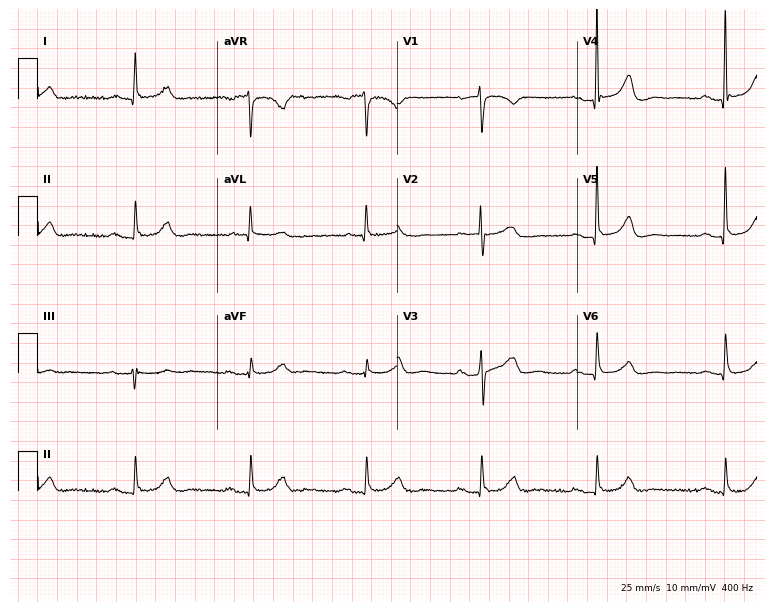
Standard 12-lead ECG recorded from an 85-year-old male. The tracing shows first-degree AV block, right bundle branch block, sinus bradycardia (a sinus rate of 50 beats per minute or less).